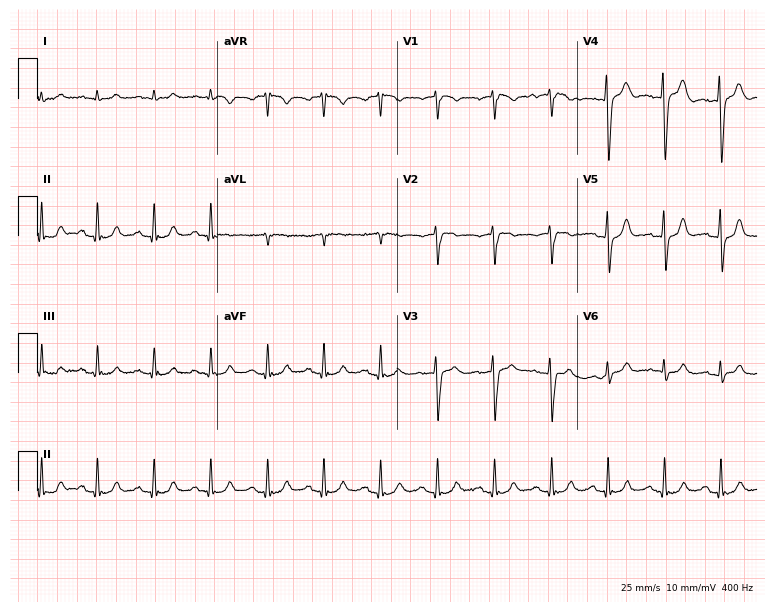
12-lead ECG from a man, 79 years old (7.3-second recording at 400 Hz). Shows sinus tachycardia (a sinus rate of 100 beats per minute or more).